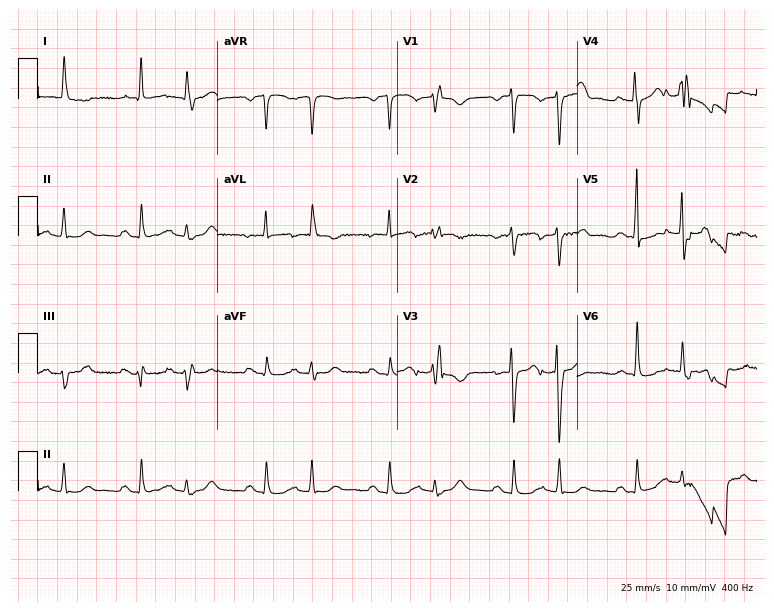
ECG — an 85-year-old woman. Screened for six findings — first-degree AV block, right bundle branch block, left bundle branch block, sinus bradycardia, atrial fibrillation, sinus tachycardia — none is recorded. Findings outside these six are not listed.